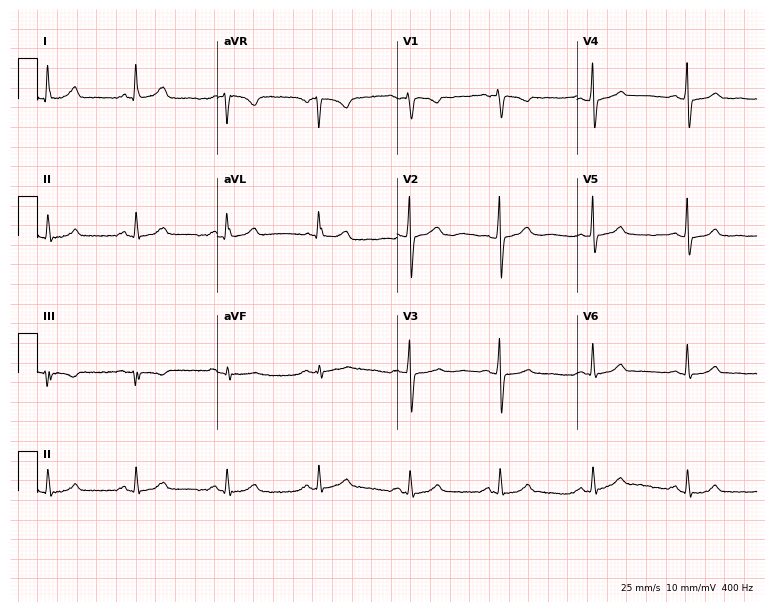
Resting 12-lead electrocardiogram. Patient: a 52-year-old female. Read as a normal ECG.